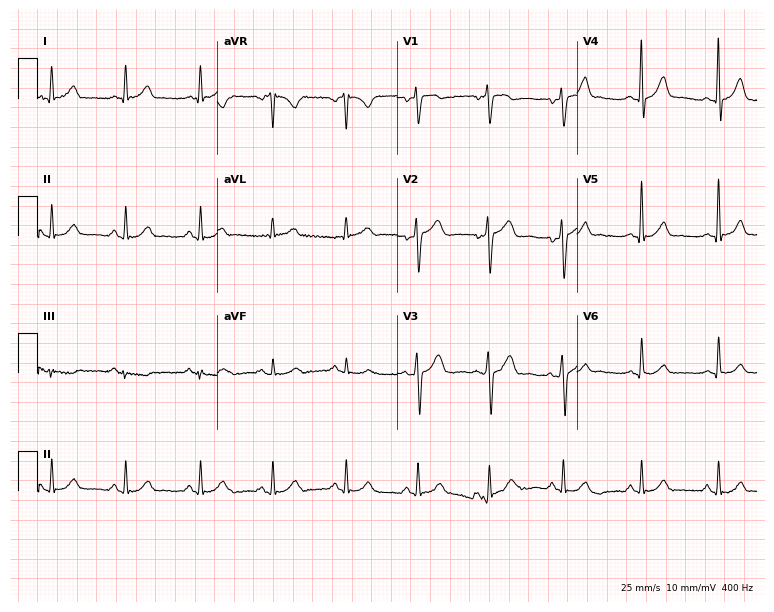
12-lead ECG from a male patient, 47 years old. No first-degree AV block, right bundle branch block (RBBB), left bundle branch block (LBBB), sinus bradycardia, atrial fibrillation (AF) or sinus tachycardia recorded for this tracing.